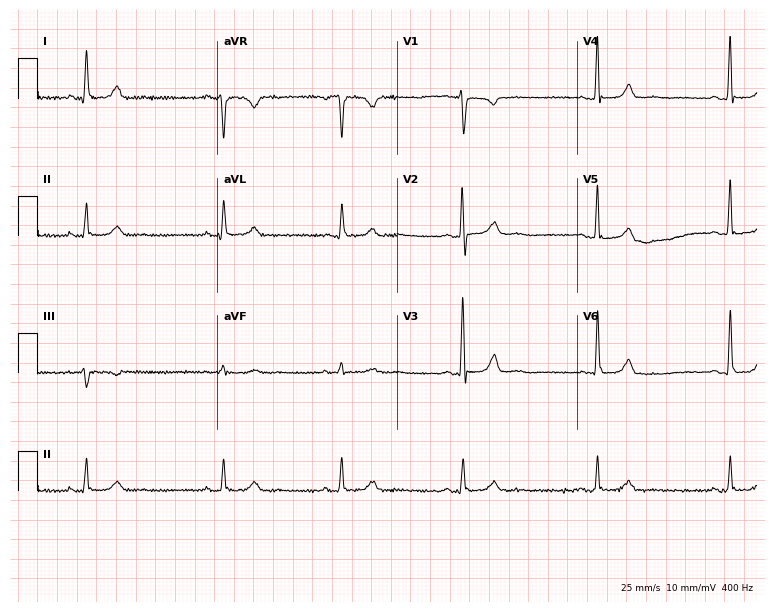
Resting 12-lead electrocardiogram. Patient: a 54-year-old female. The tracing shows sinus bradycardia (a sinus rate of 50 beats per minute or less).